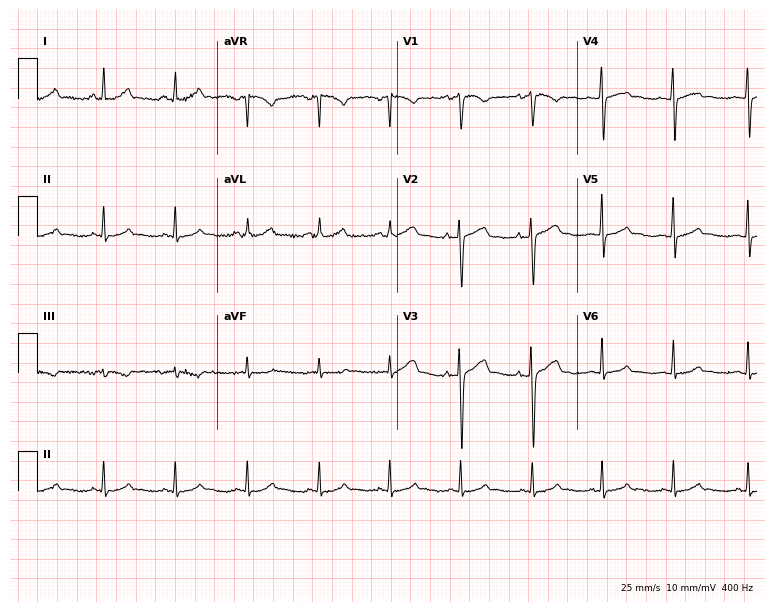
Standard 12-lead ECG recorded from a female, 36 years old. Read as a normal ECG.